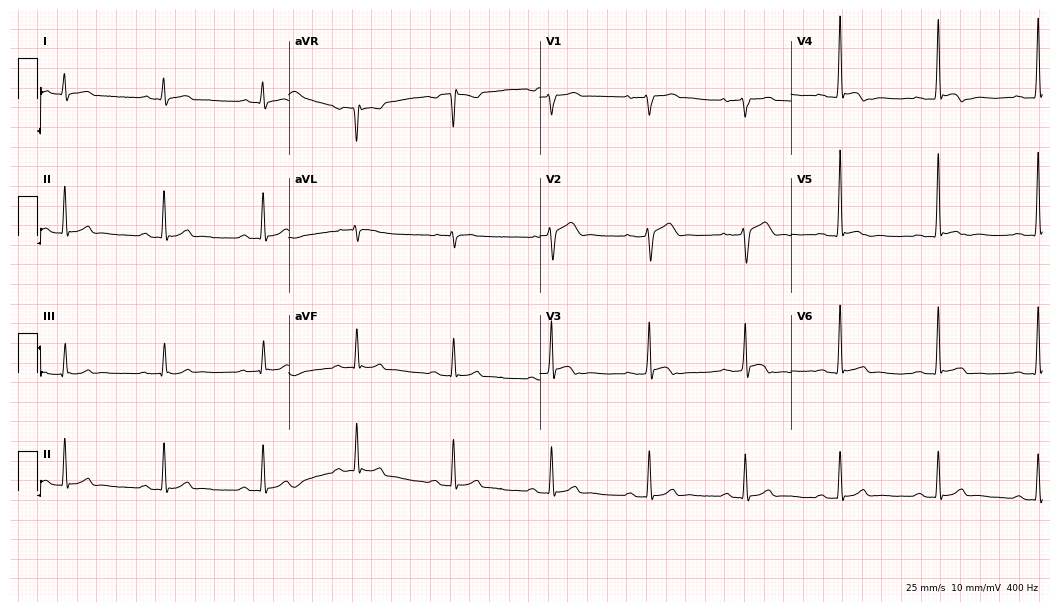
12-lead ECG from a male patient, 28 years old. No first-degree AV block, right bundle branch block (RBBB), left bundle branch block (LBBB), sinus bradycardia, atrial fibrillation (AF) or sinus tachycardia recorded for this tracing.